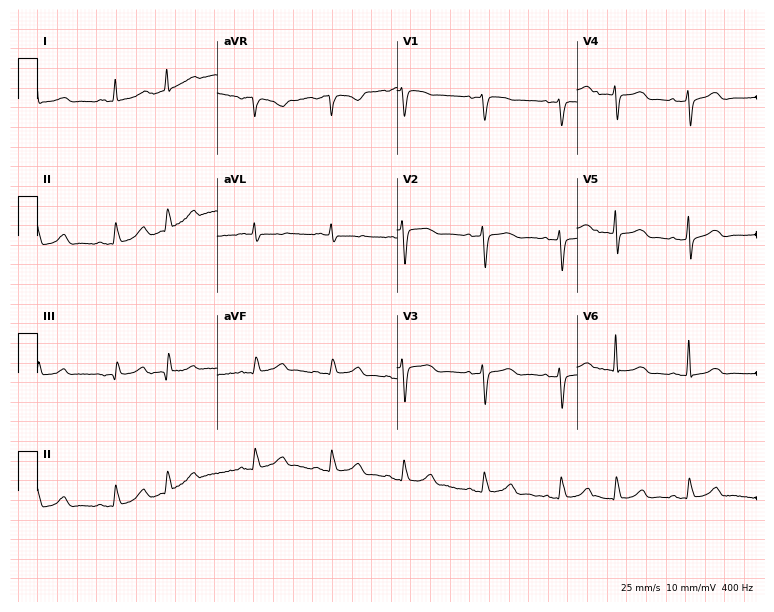
Standard 12-lead ECG recorded from a woman, 82 years old (7.3-second recording at 400 Hz). None of these six findings is recorded: first-degree AV block, right bundle branch block, left bundle branch block, sinus bradycardia, atrial fibrillation, sinus tachycardia.